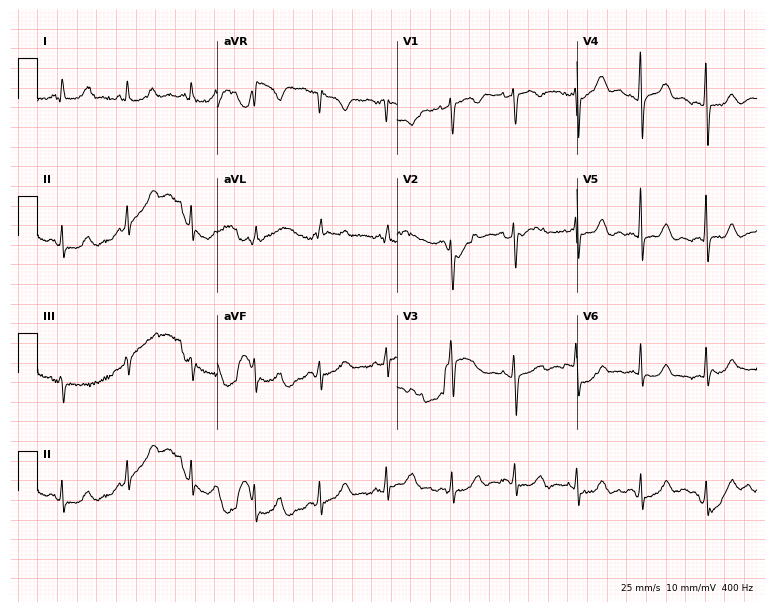
12-lead ECG (7.3-second recording at 400 Hz) from a female, 44 years old. Labelled as a normal ECG.